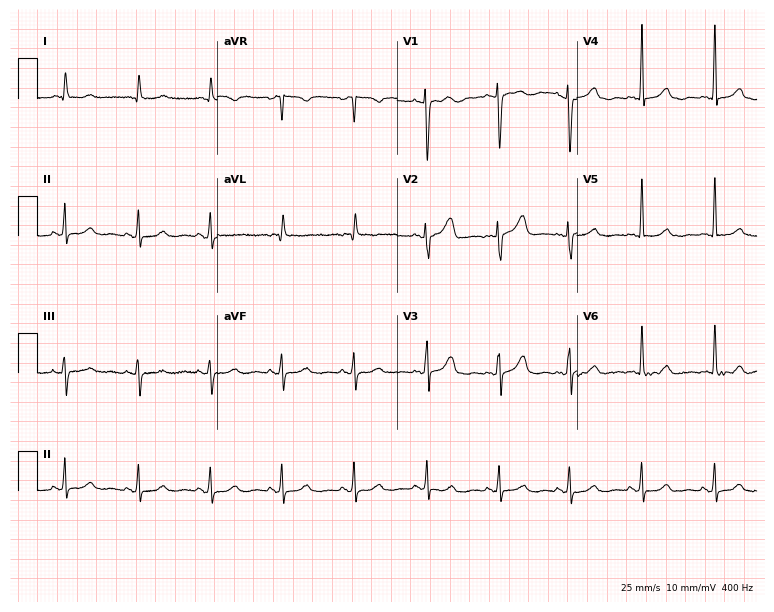
12-lead ECG from a female, 63 years old. Screened for six findings — first-degree AV block, right bundle branch block, left bundle branch block, sinus bradycardia, atrial fibrillation, sinus tachycardia — none is recorded. Only these six findings were labelled.